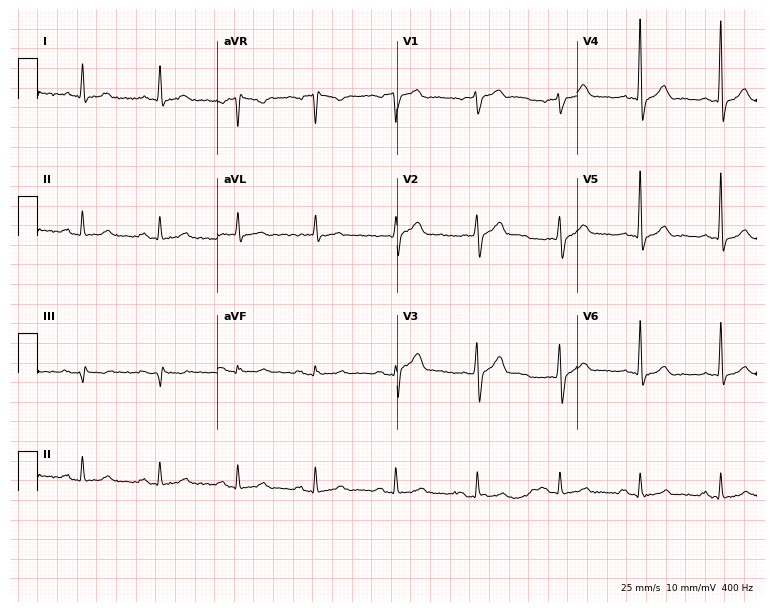
12-lead ECG from a 57-year-old male patient (7.3-second recording at 400 Hz). No first-degree AV block, right bundle branch block, left bundle branch block, sinus bradycardia, atrial fibrillation or sinus tachycardia recorded for this tracing. Only these six findings were labelled.